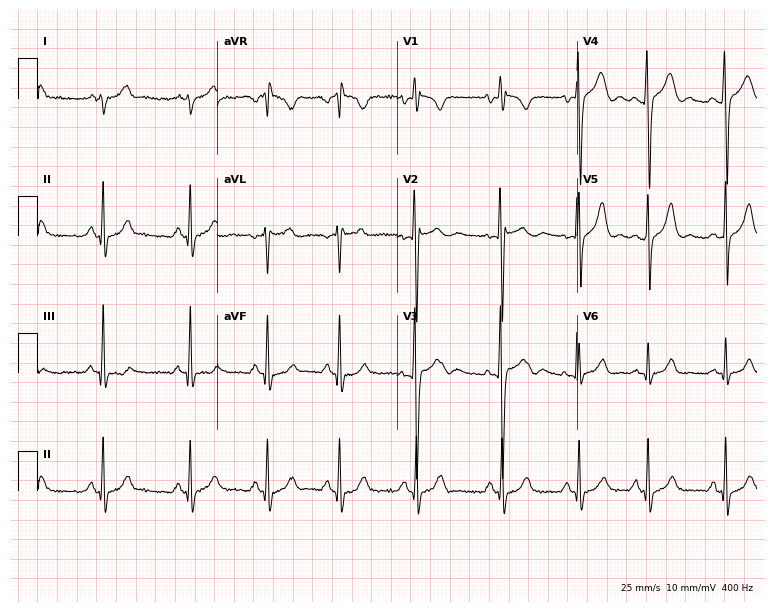
ECG — an 18-year-old female. Screened for six findings — first-degree AV block, right bundle branch block (RBBB), left bundle branch block (LBBB), sinus bradycardia, atrial fibrillation (AF), sinus tachycardia — none is recorded. Only these six findings were labelled.